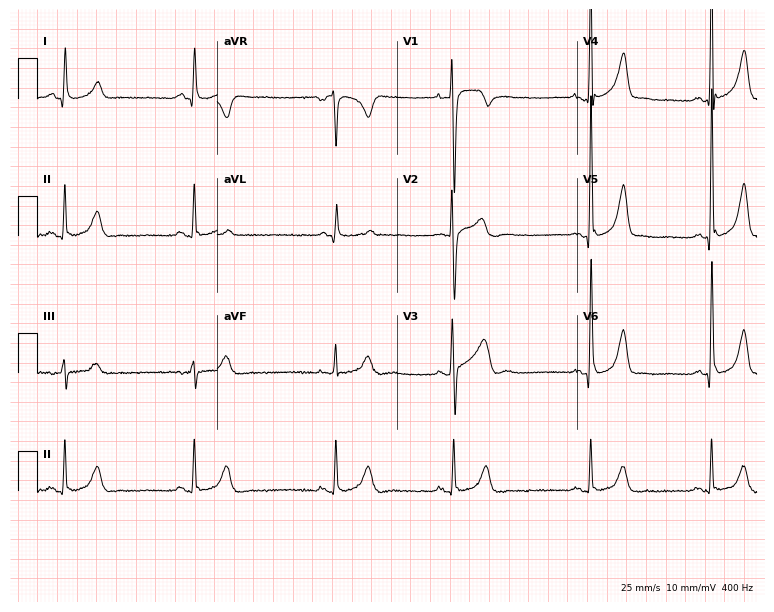
ECG — a man, 24 years old. Findings include sinus bradycardia (a sinus rate of 50 beats per minute or less).